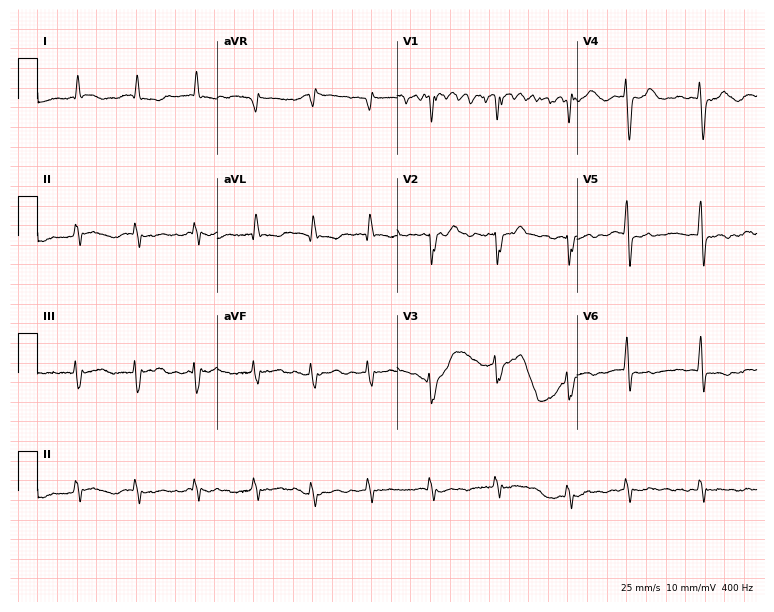
Resting 12-lead electrocardiogram. Patient: a female, 83 years old. The tracing shows atrial fibrillation.